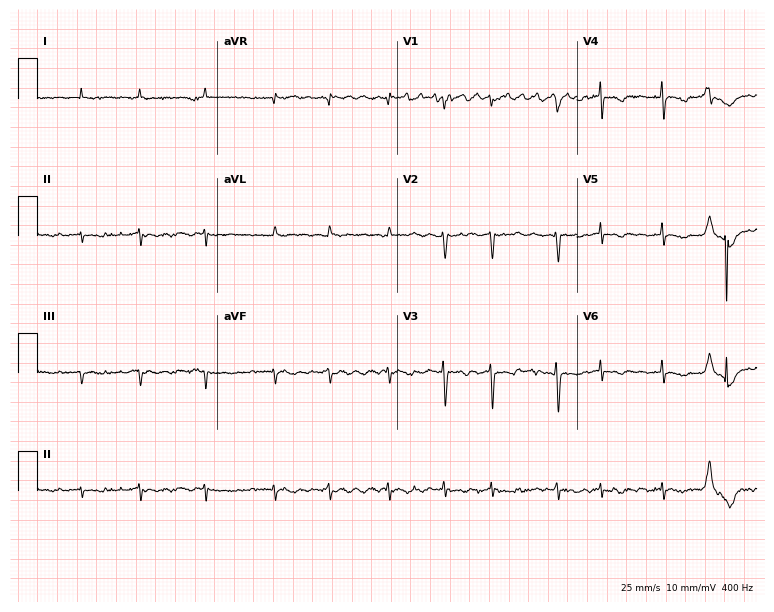
12-lead ECG from a woman, 83 years old. Shows atrial fibrillation.